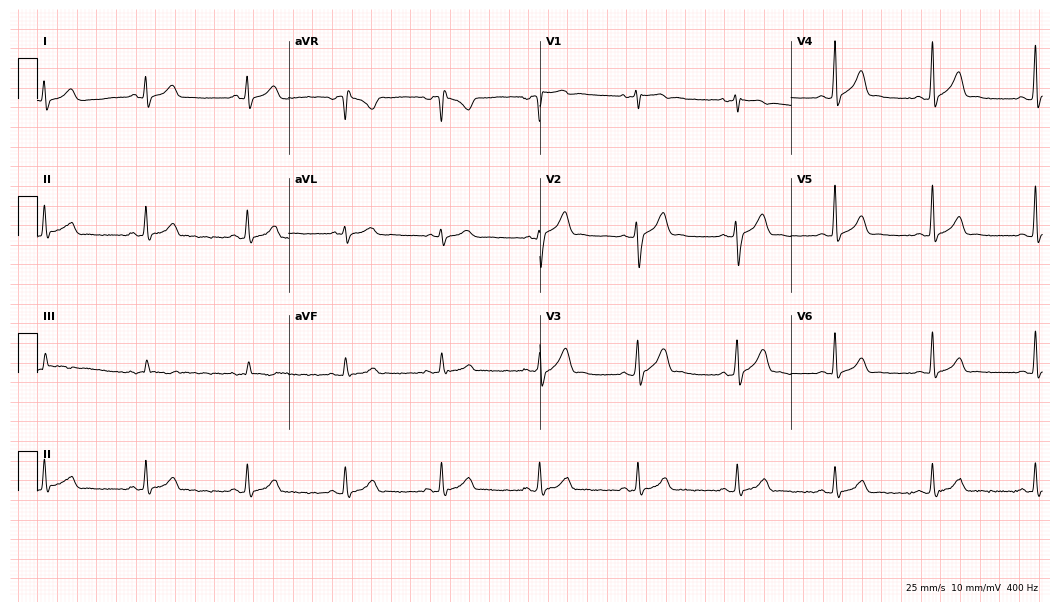
Standard 12-lead ECG recorded from a man, 32 years old (10.2-second recording at 400 Hz). Read as a normal ECG.